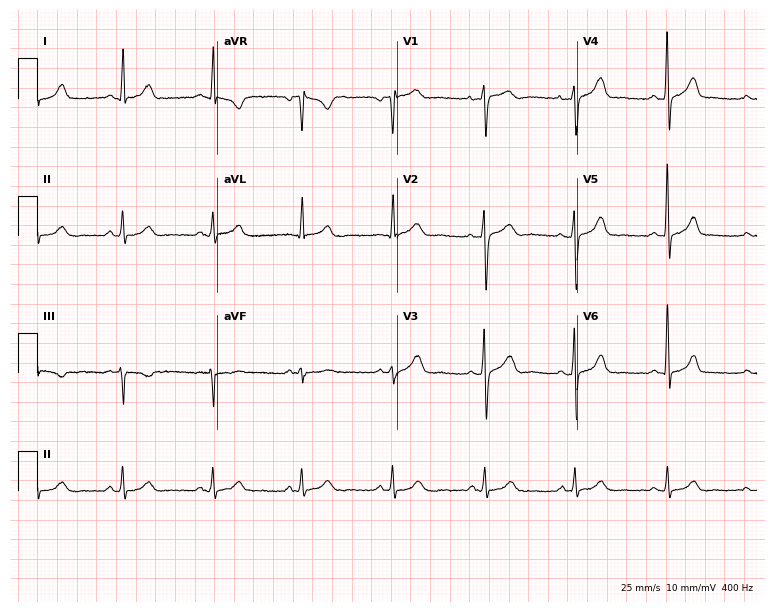
12-lead ECG from a woman, 46 years old. No first-degree AV block, right bundle branch block (RBBB), left bundle branch block (LBBB), sinus bradycardia, atrial fibrillation (AF) or sinus tachycardia recorded for this tracing.